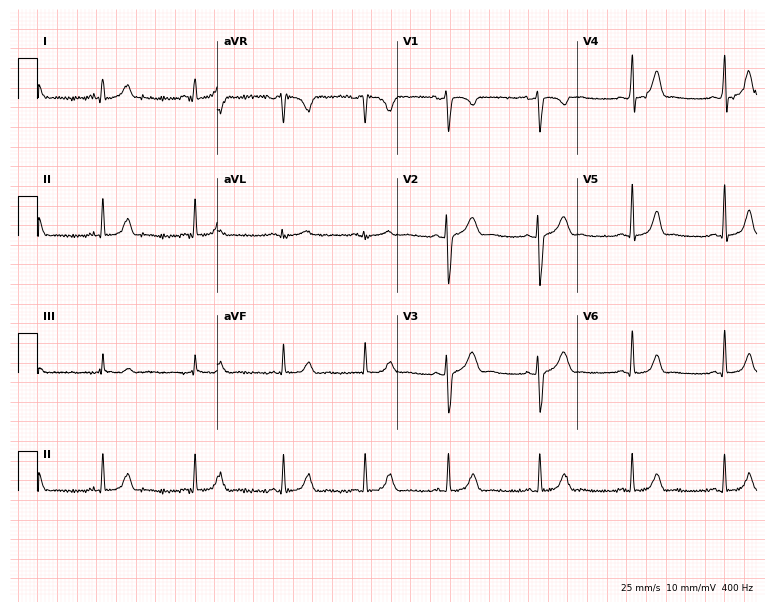
12-lead ECG (7.3-second recording at 400 Hz) from a female patient, 24 years old. Labelled as a normal ECG.